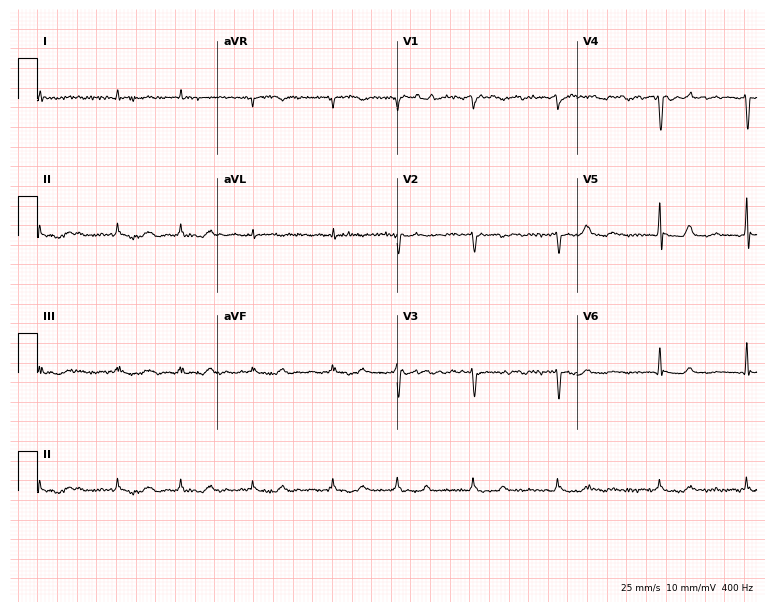
ECG (7.3-second recording at 400 Hz) — a female, 80 years old. Findings include atrial fibrillation (AF).